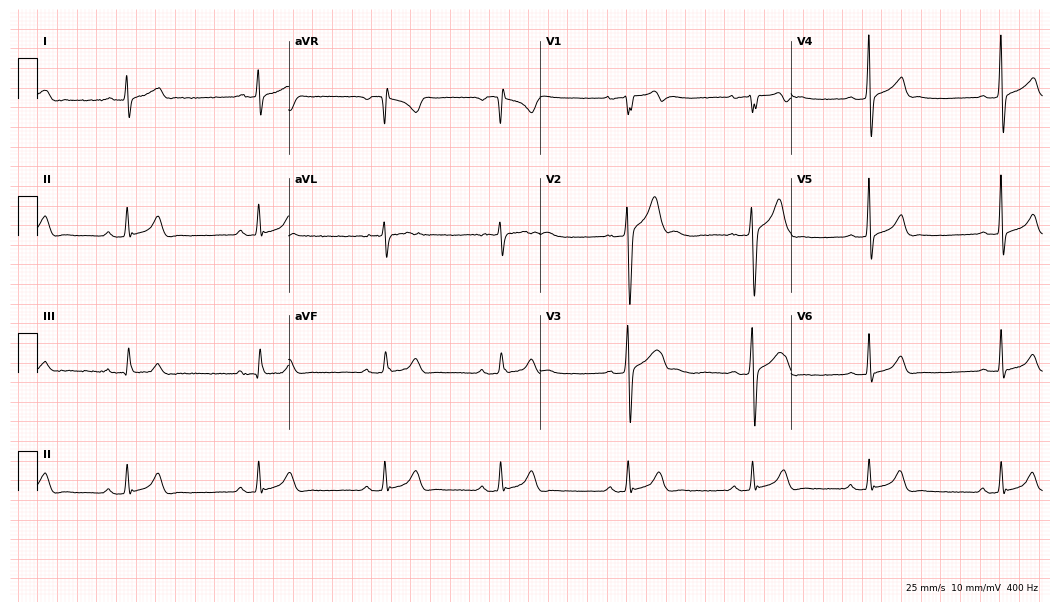
Electrocardiogram, a 23-year-old man. Interpretation includes sinus bradycardia (a sinus rate of 50 beats per minute or less).